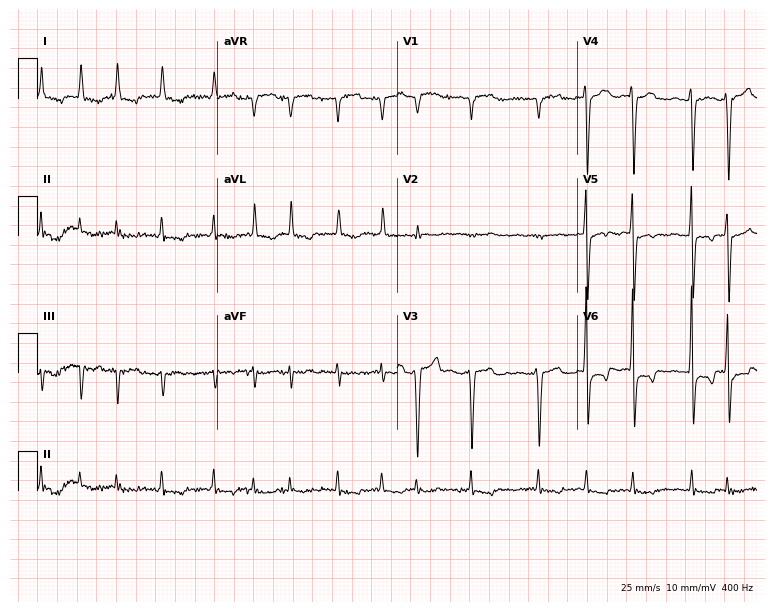
Resting 12-lead electrocardiogram. Patient: a female, 72 years old. The tracing shows atrial fibrillation.